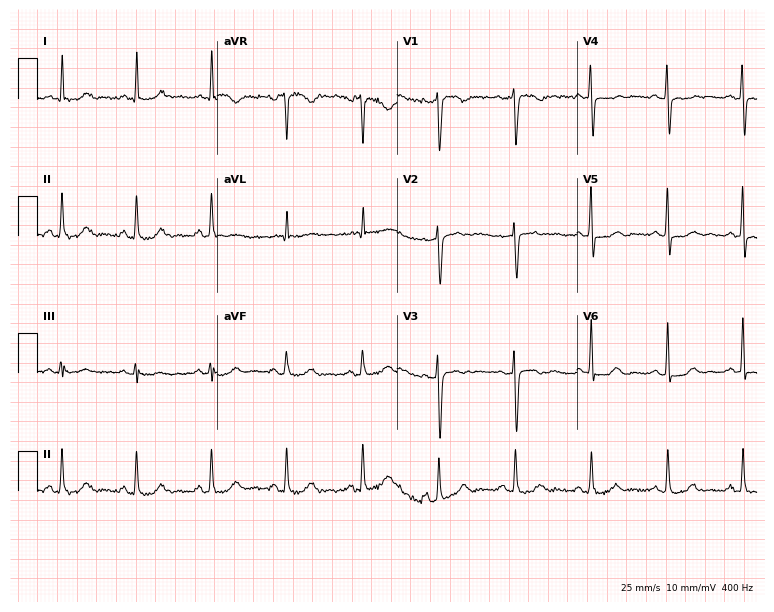
Resting 12-lead electrocardiogram. Patient: a female, 45 years old. None of these six findings is recorded: first-degree AV block, right bundle branch block, left bundle branch block, sinus bradycardia, atrial fibrillation, sinus tachycardia.